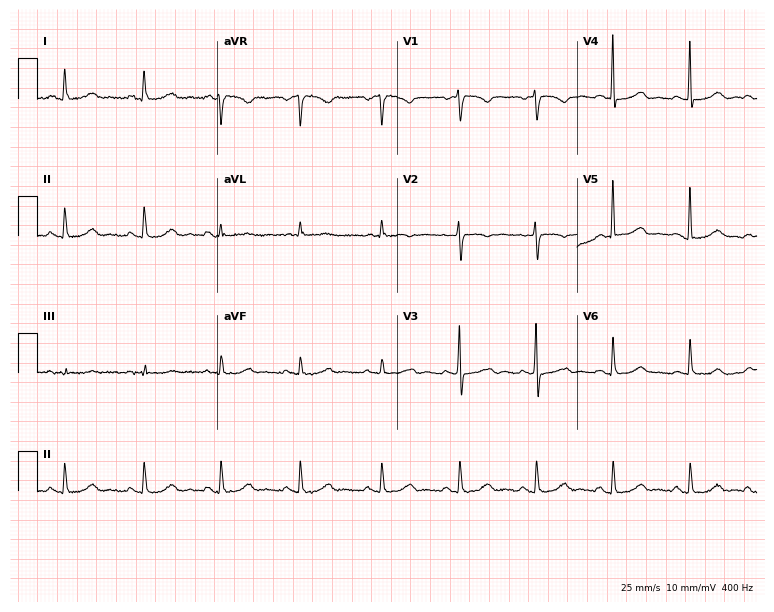
Resting 12-lead electrocardiogram. Patient: a female, 50 years old. Read as a normal ECG.